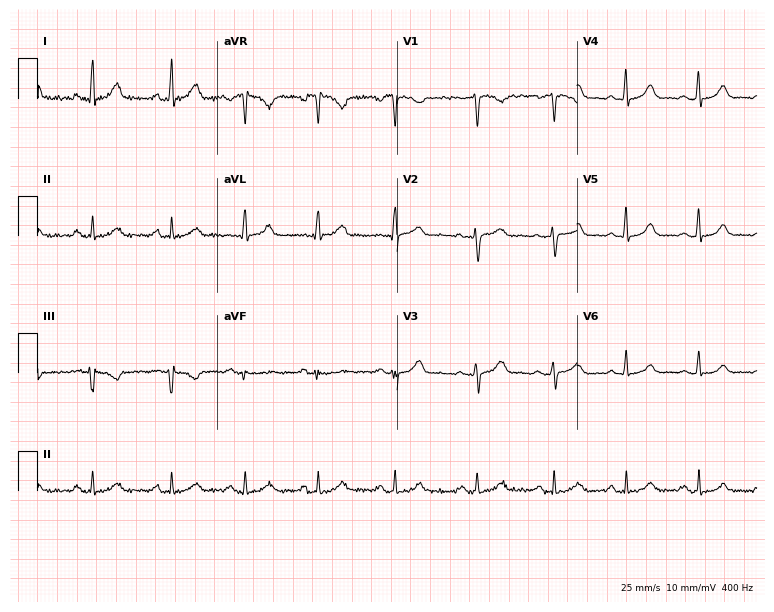
ECG (7.3-second recording at 400 Hz) — a 31-year-old woman. Labelled as a normal ECG.